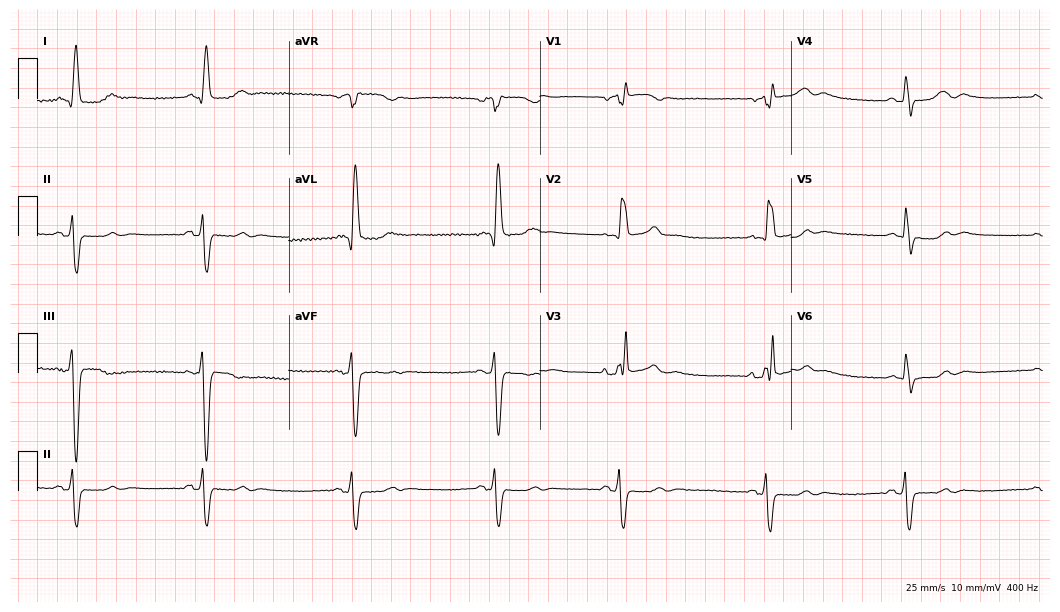
12-lead ECG from a woman, 73 years old. Findings include right bundle branch block, sinus bradycardia (a sinus rate of 50 beats per minute or less).